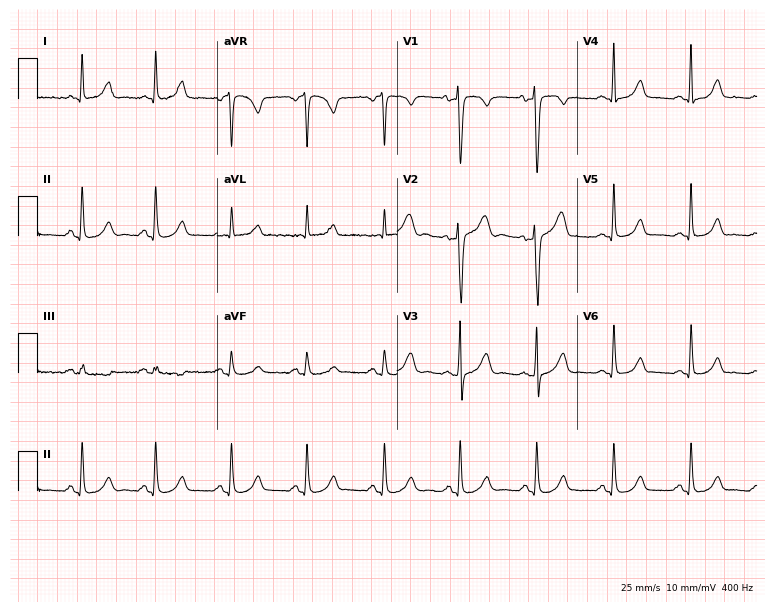
12-lead ECG from a woman, 32 years old. Labelled as a normal ECG.